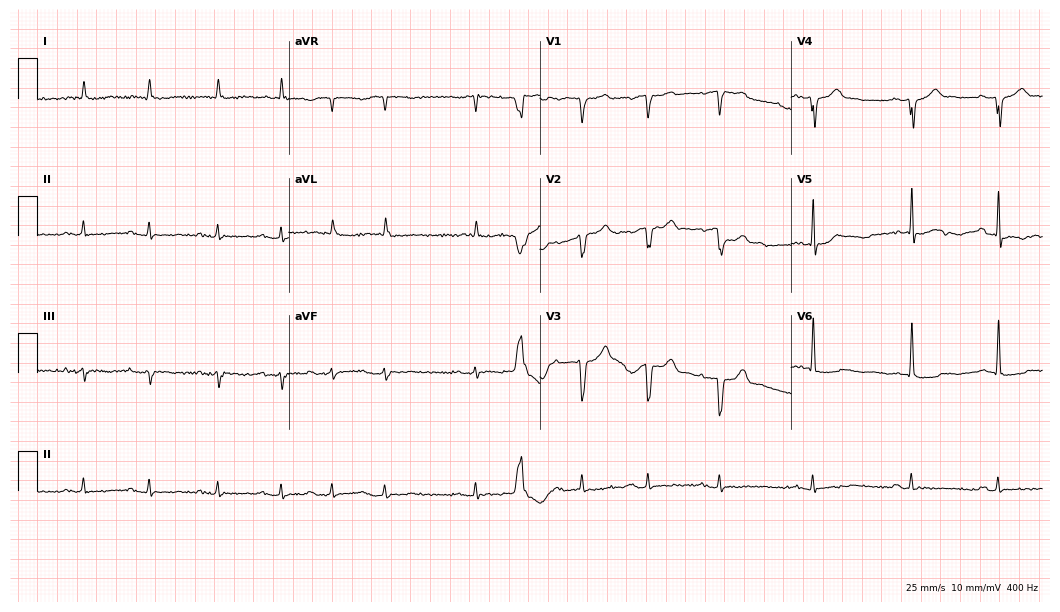
ECG — a male patient, 84 years old. Screened for six findings — first-degree AV block, right bundle branch block, left bundle branch block, sinus bradycardia, atrial fibrillation, sinus tachycardia — none is recorded. Other findings, if any, are not listed.